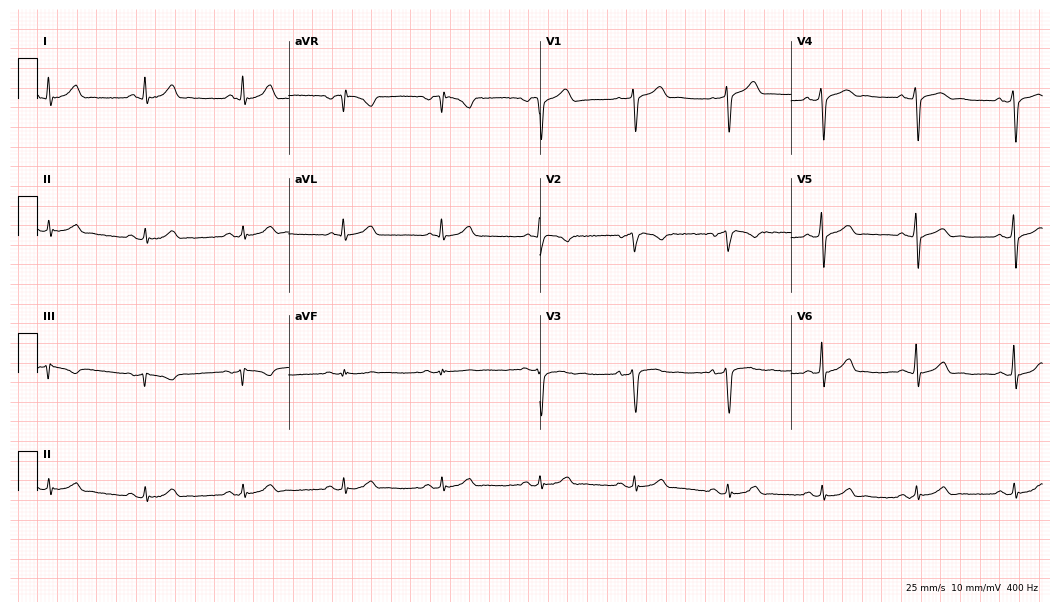
Resting 12-lead electrocardiogram. Patient: a male, 53 years old. None of these six findings is recorded: first-degree AV block, right bundle branch block, left bundle branch block, sinus bradycardia, atrial fibrillation, sinus tachycardia.